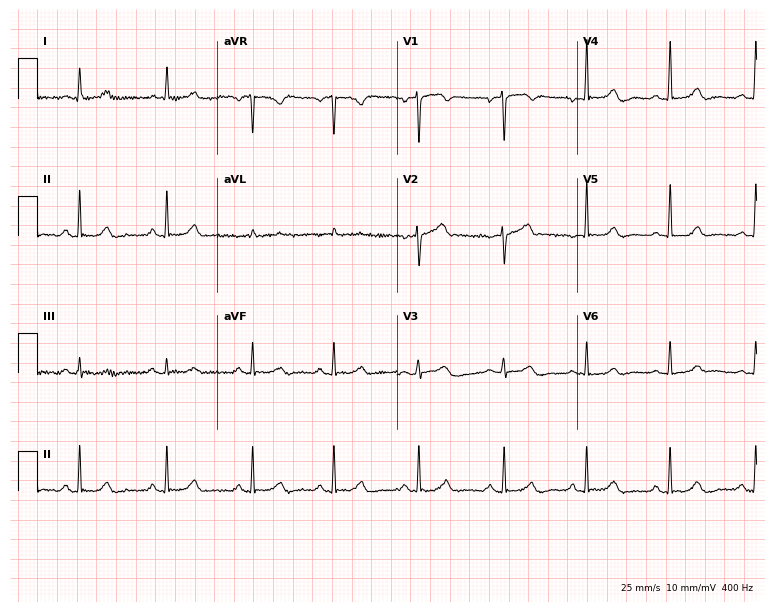
Resting 12-lead electrocardiogram. Patient: a 40-year-old female. Read as a normal ECG.